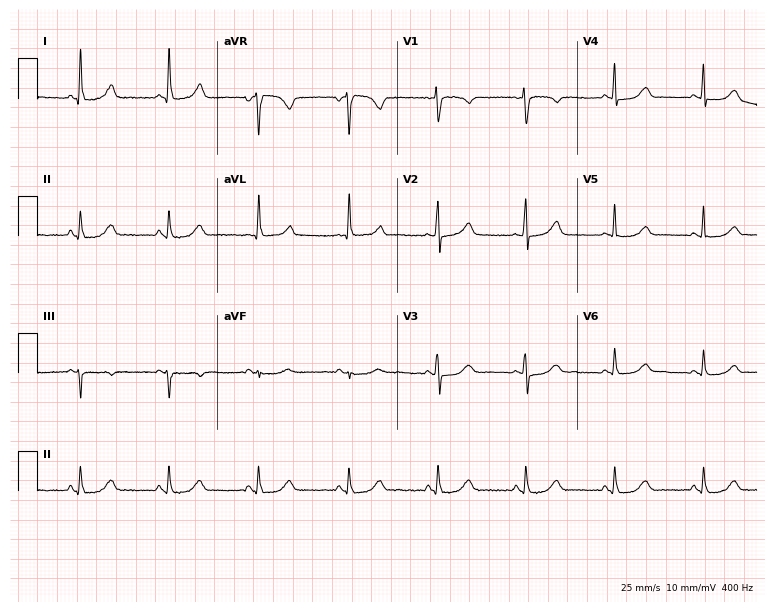
Standard 12-lead ECG recorded from a 68-year-old female. Read as a normal ECG.